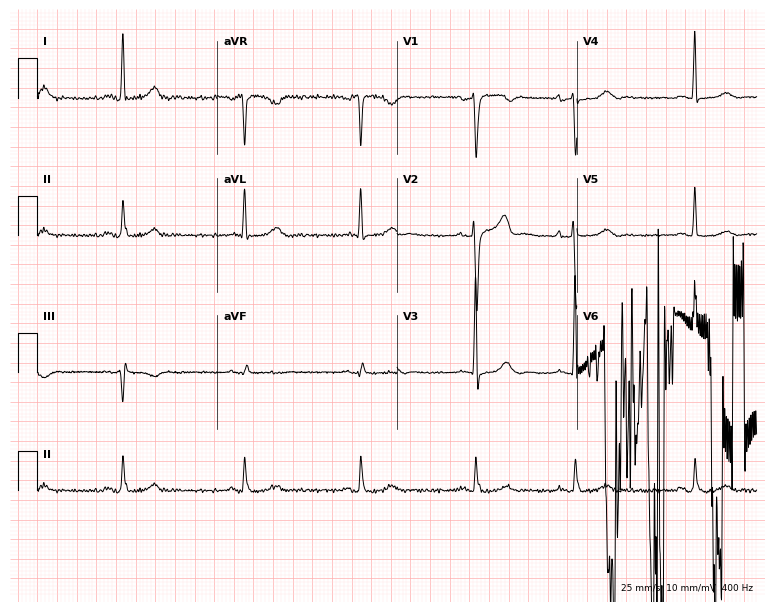
ECG — a male, 73 years old. Screened for six findings — first-degree AV block, right bundle branch block (RBBB), left bundle branch block (LBBB), sinus bradycardia, atrial fibrillation (AF), sinus tachycardia — none is recorded. Only these six findings were labelled.